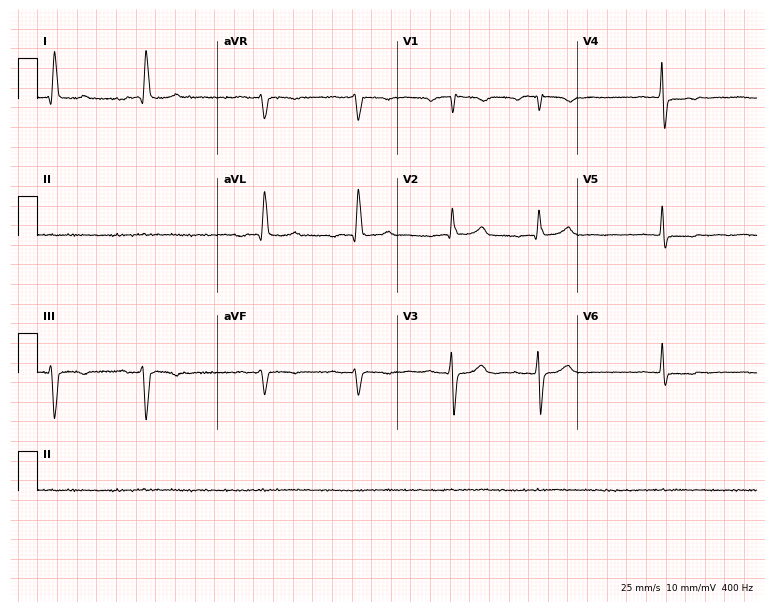
12-lead ECG from a male, 84 years old. Screened for six findings — first-degree AV block, right bundle branch block (RBBB), left bundle branch block (LBBB), sinus bradycardia, atrial fibrillation (AF), sinus tachycardia — none is recorded. Findings outside these six are not listed.